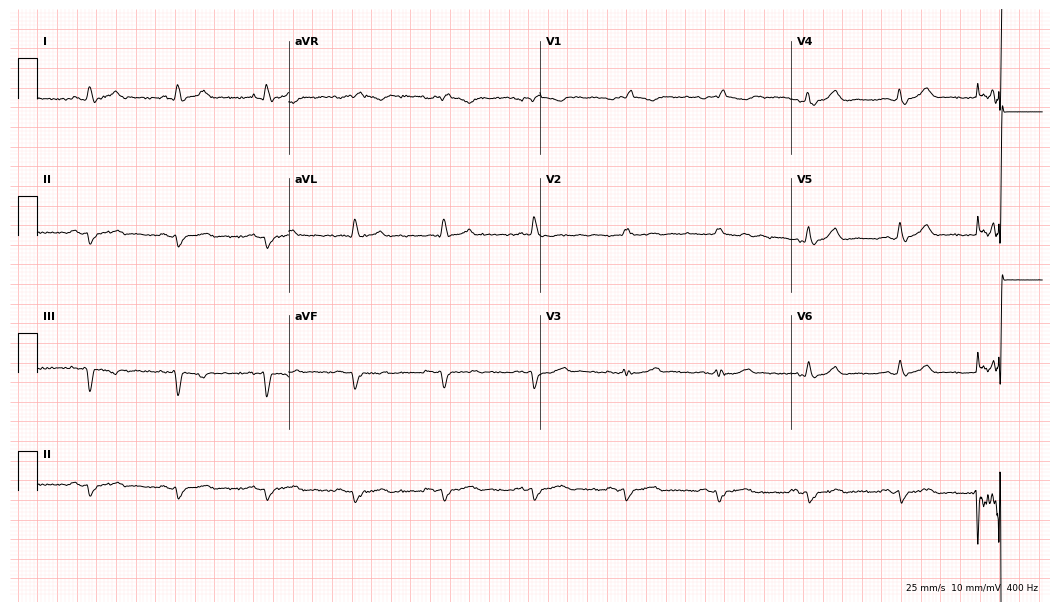
12-lead ECG (10.2-second recording at 400 Hz) from an 80-year-old male patient. Screened for six findings — first-degree AV block, right bundle branch block (RBBB), left bundle branch block (LBBB), sinus bradycardia, atrial fibrillation (AF), sinus tachycardia — none is recorded.